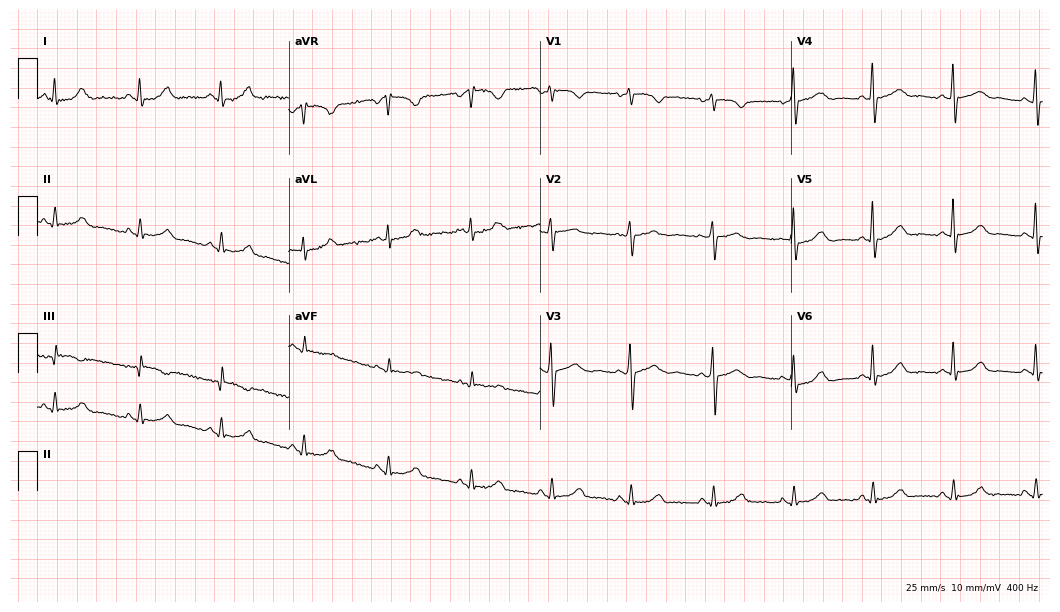
12-lead ECG (10.2-second recording at 400 Hz) from a female, 50 years old. Screened for six findings — first-degree AV block, right bundle branch block, left bundle branch block, sinus bradycardia, atrial fibrillation, sinus tachycardia — none is recorded.